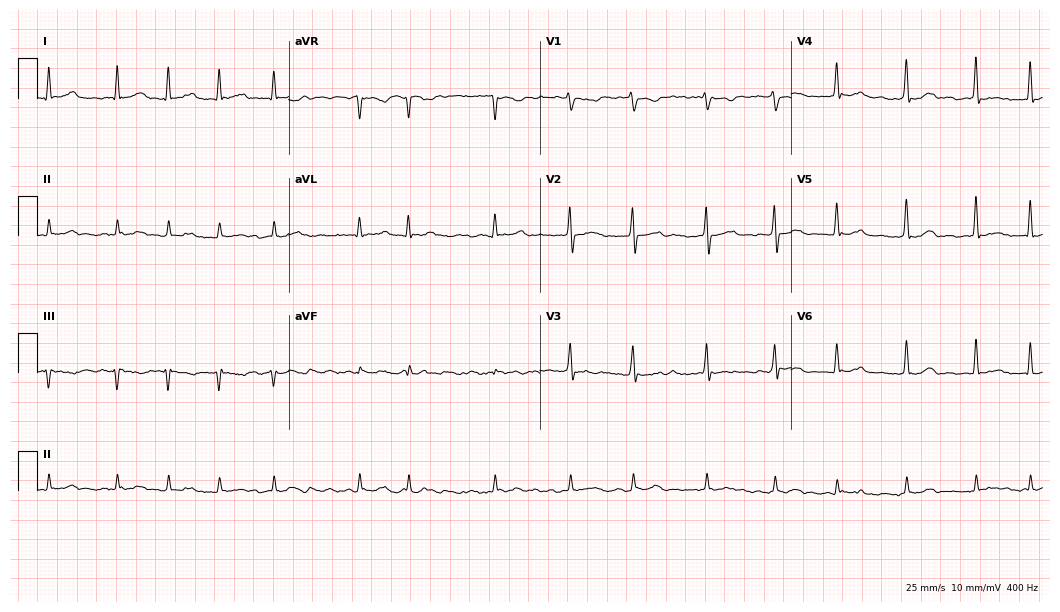
ECG — a 72-year-old male patient. Findings include atrial fibrillation.